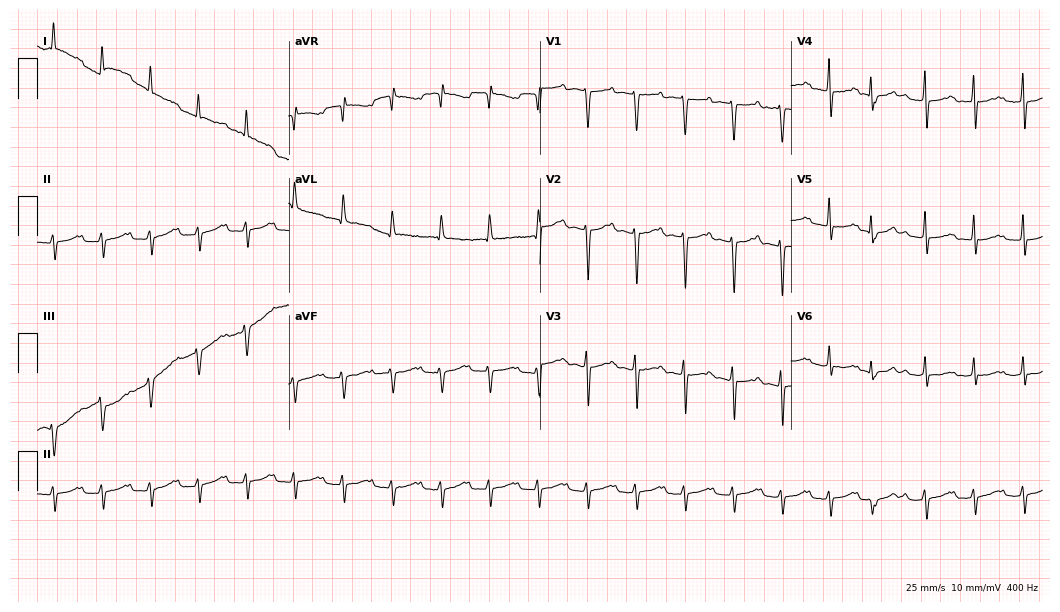
12-lead ECG from a female, 79 years old (10.2-second recording at 400 Hz). No first-degree AV block, right bundle branch block, left bundle branch block, sinus bradycardia, atrial fibrillation or sinus tachycardia recorded for this tracing.